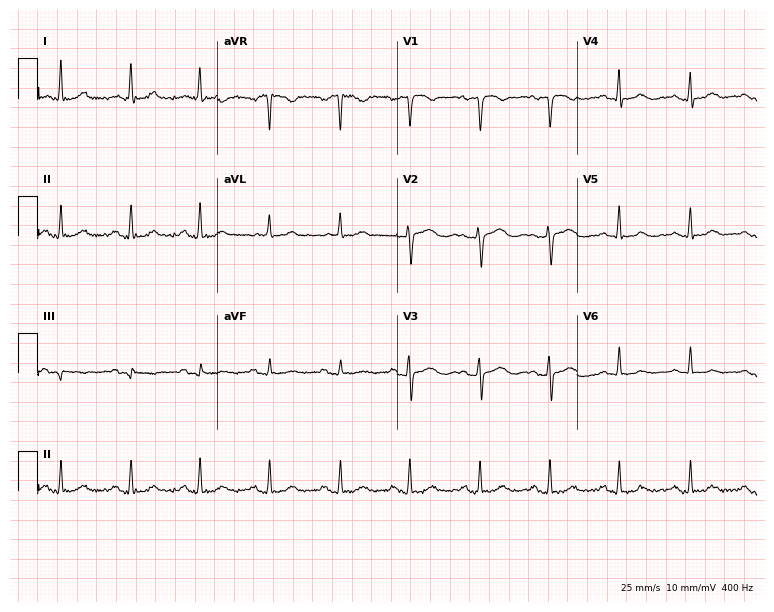
Standard 12-lead ECG recorded from a 65-year-old woman. Read as a normal ECG.